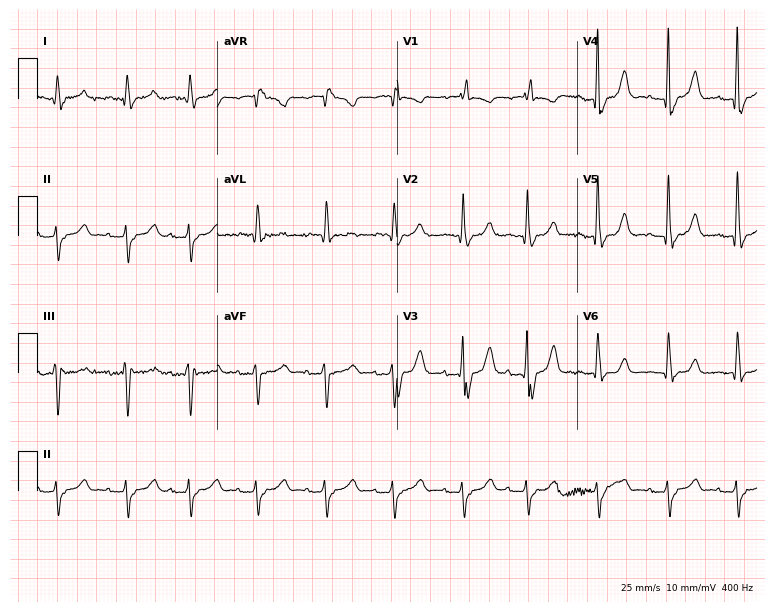
12-lead ECG from a 79-year-old male patient. Shows right bundle branch block.